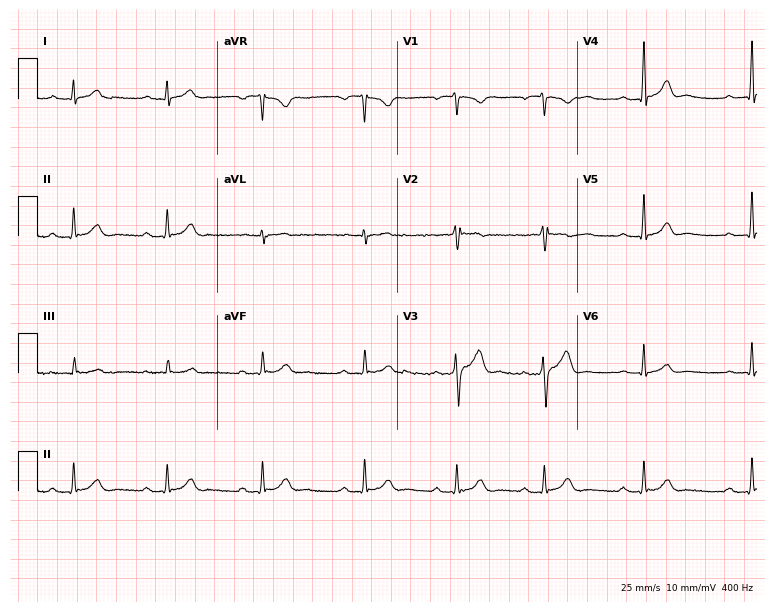
Standard 12-lead ECG recorded from a 35-year-old man (7.3-second recording at 400 Hz). The tracing shows first-degree AV block.